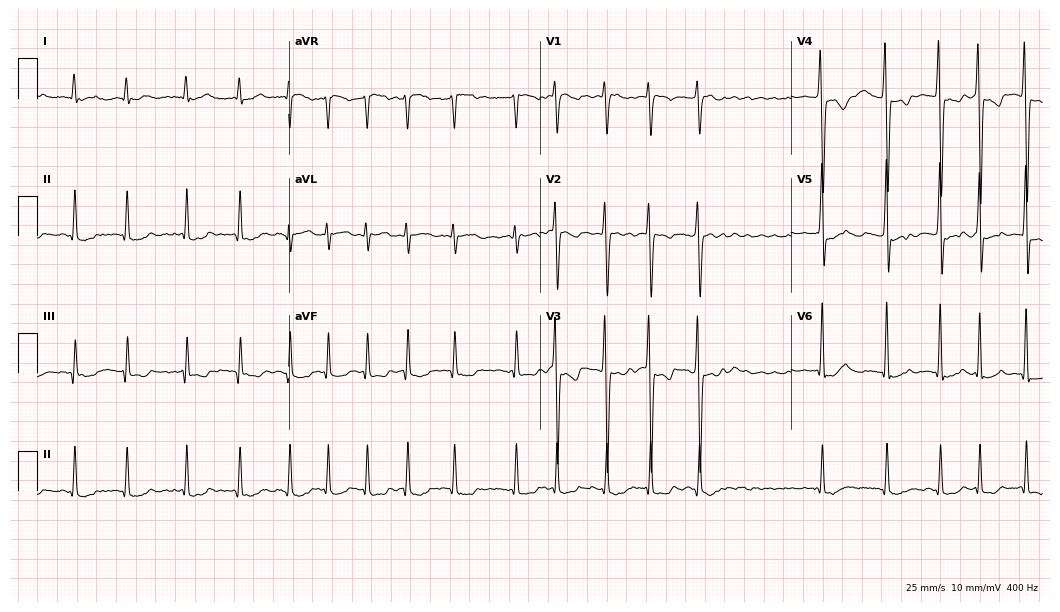
Resting 12-lead electrocardiogram (10.2-second recording at 400 Hz). Patient: a male, 60 years old. The tracing shows atrial fibrillation.